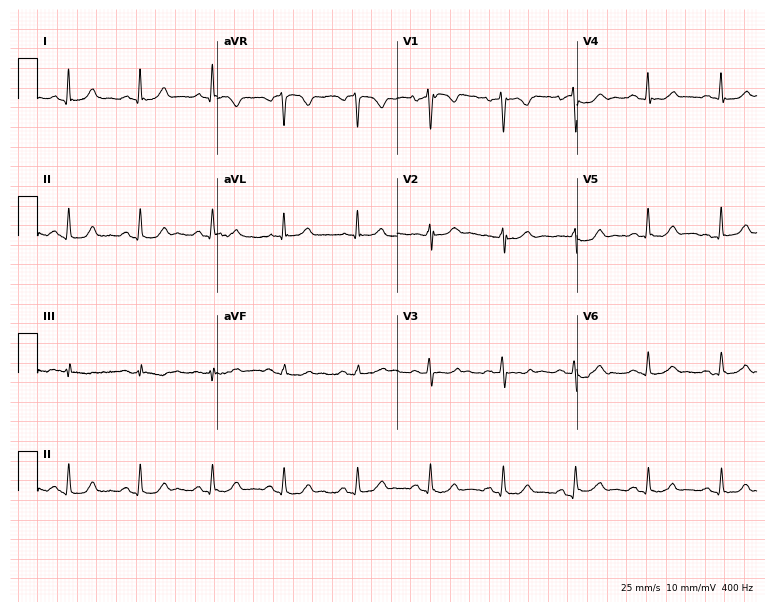
Electrocardiogram, a man, 66 years old. Overall reading on record: normal ECG.